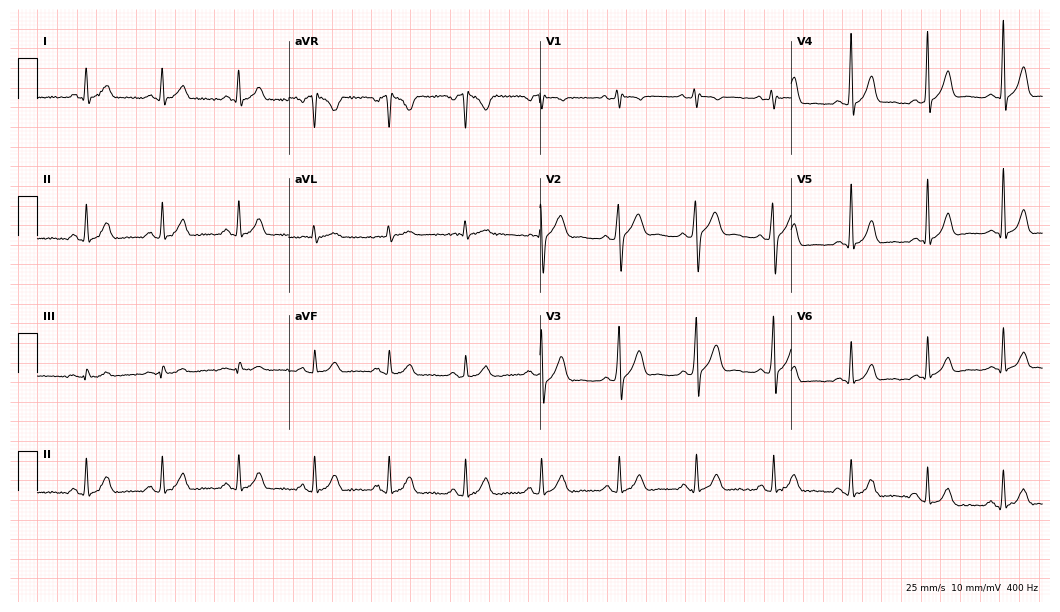
Resting 12-lead electrocardiogram (10.2-second recording at 400 Hz). Patient: a male, 43 years old. None of these six findings is recorded: first-degree AV block, right bundle branch block, left bundle branch block, sinus bradycardia, atrial fibrillation, sinus tachycardia.